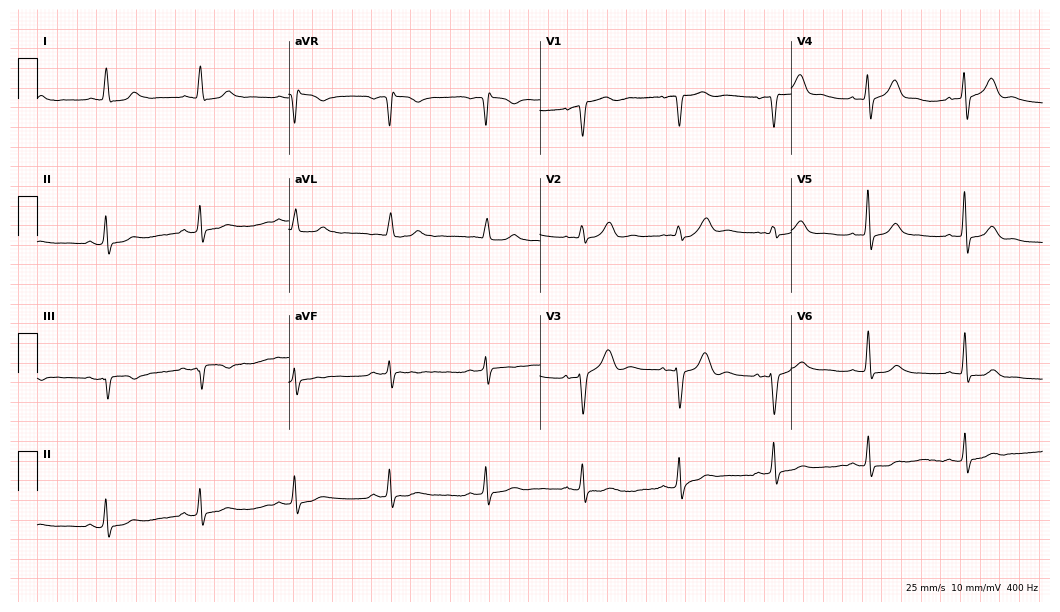
ECG — a female patient, 81 years old. Screened for six findings — first-degree AV block, right bundle branch block, left bundle branch block, sinus bradycardia, atrial fibrillation, sinus tachycardia — none is recorded. Findings outside these six are not listed.